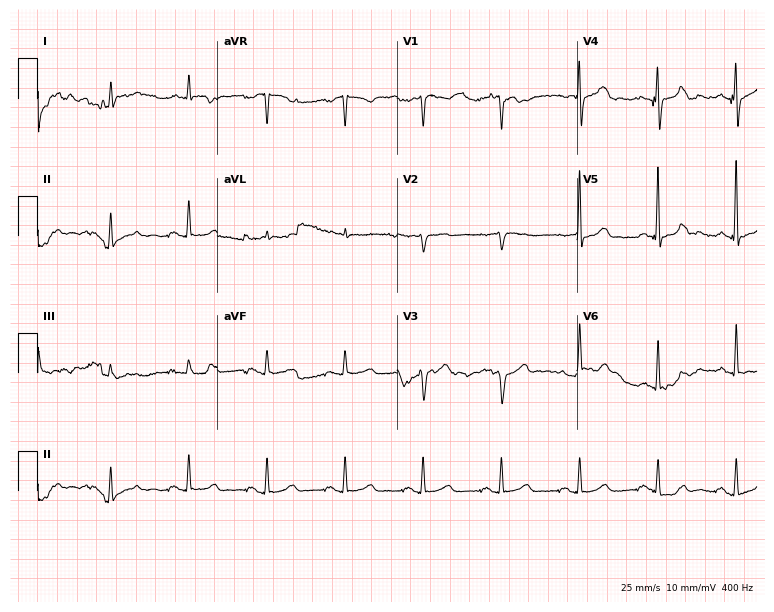
Resting 12-lead electrocardiogram. Patient: a man, 74 years old. None of these six findings is recorded: first-degree AV block, right bundle branch block (RBBB), left bundle branch block (LBBB), sinus bradycardia, atrial fibrillation (AF), sinus tachycardia.